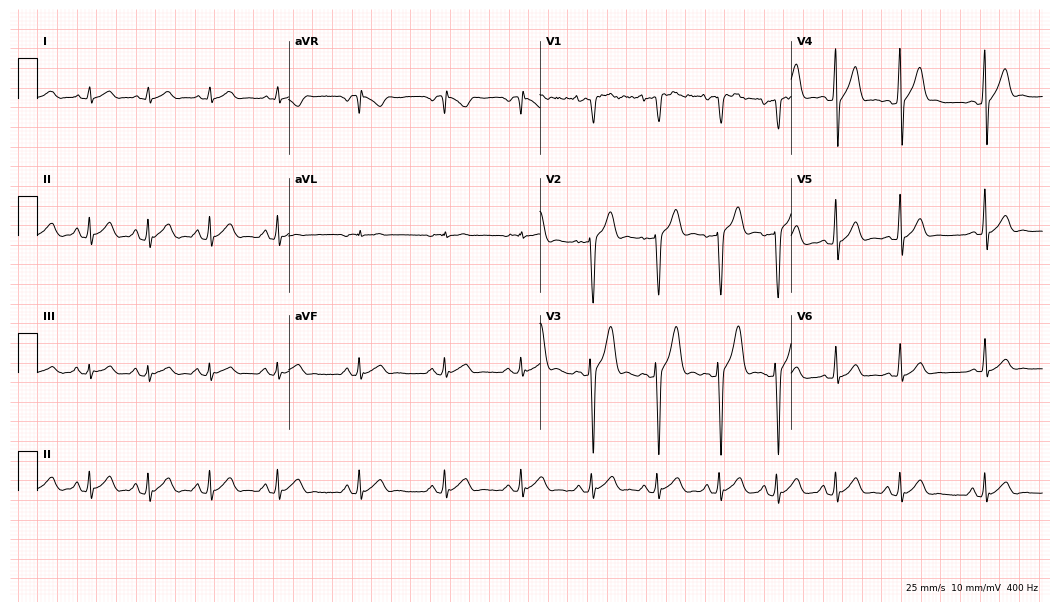
ECG (10.2-second recording at 400 Hz) — a 20-year-old man. Labelled as a normal ECG.